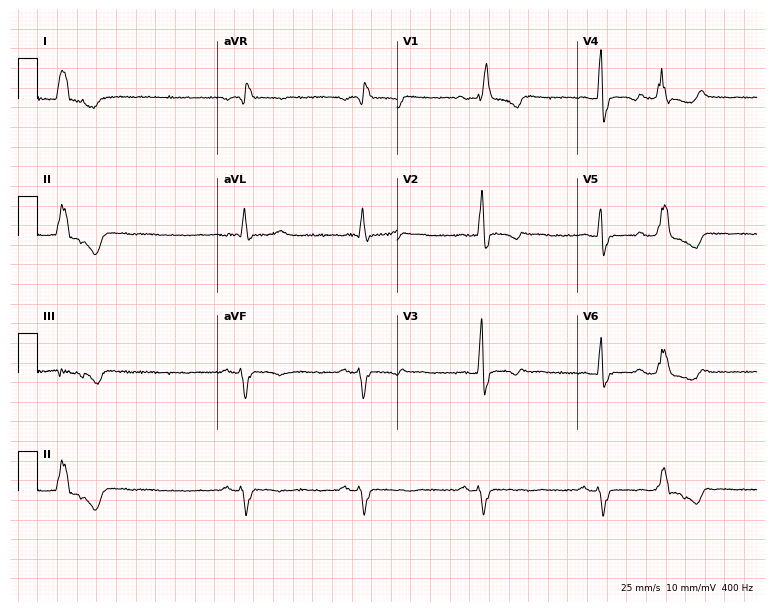
Resting 12-lead electrocardiogram (7.3-second recording at 400 Hz). Patient: a male, 60 years old. The tracing shows right bundle branch block.